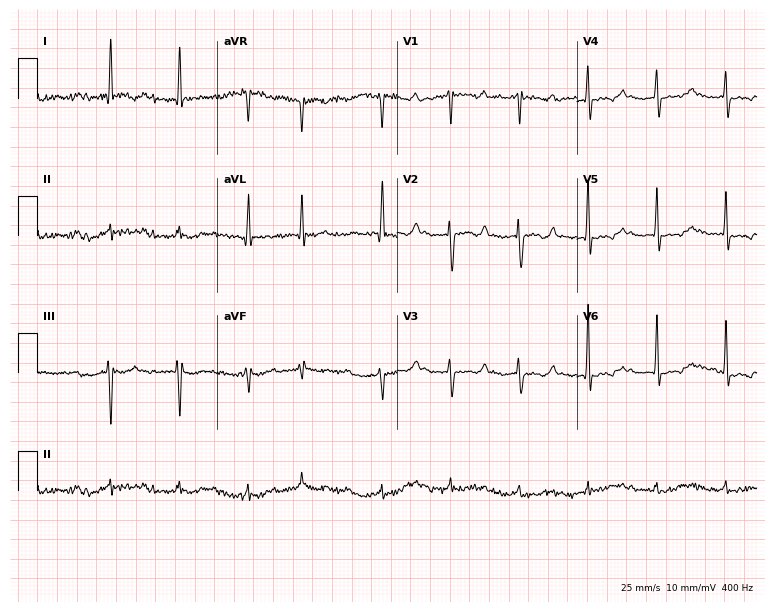
12-lead ECG from a male patient, 81 years old. No first-degree AV block, right bundle branch block (RBBB), left bundle branch block (LBBB), sinus bradycardia, atrial fibrillation (AF) or sinus tachycardia recorded for this tracing. Other findings, if any, are not listed.